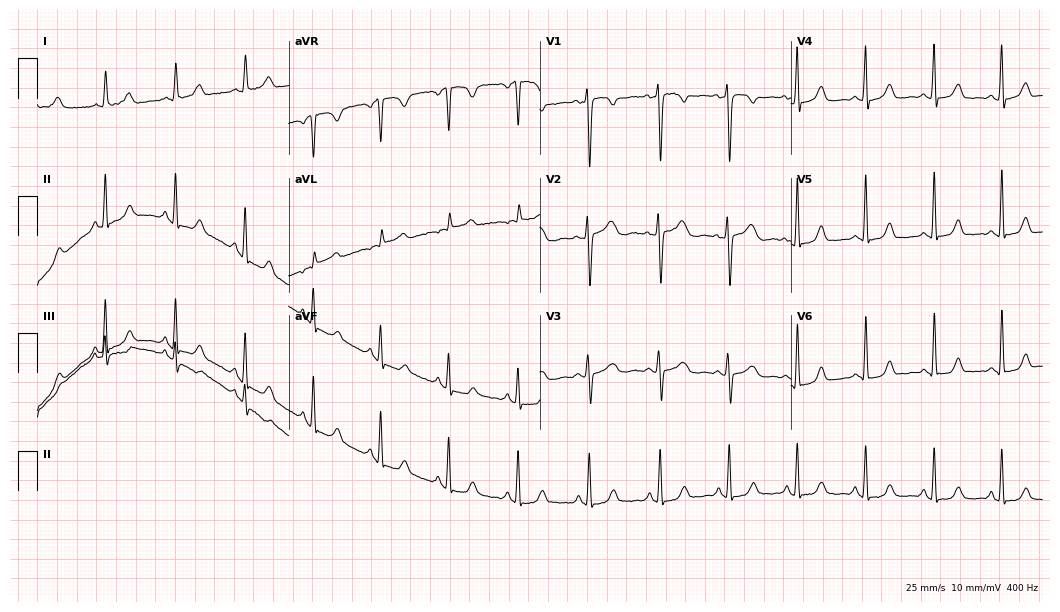
12-lead ECG from a woman, 45 years old. Labelled as a normal ECG.